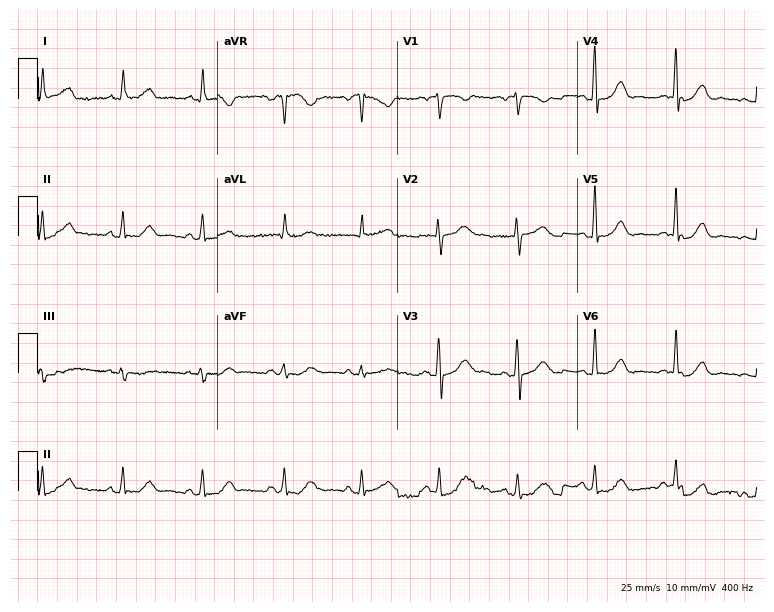
ECG (7.3-second recording at 400 Hz) — a female patient, 64 years old. Labelled as a normal ECG.